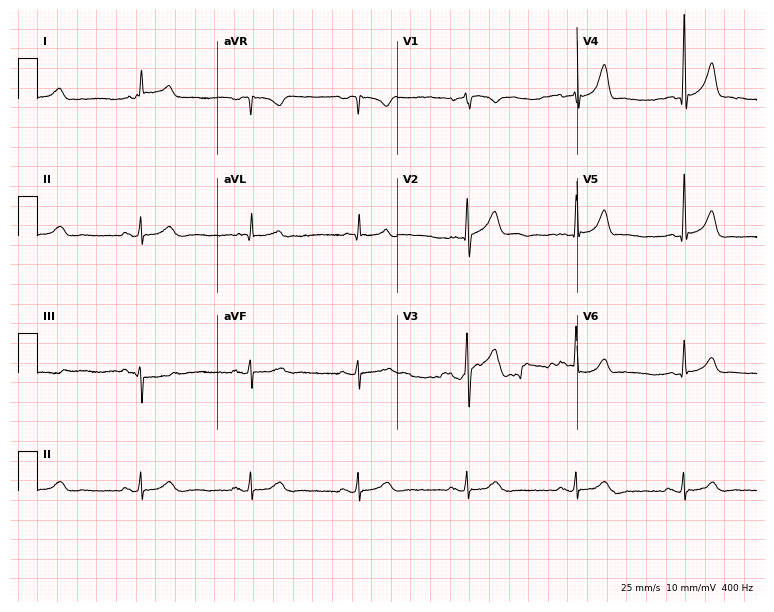
Standard 12-lead ECG recorded from a male patient, 76 years old. Read as a normal ECG.